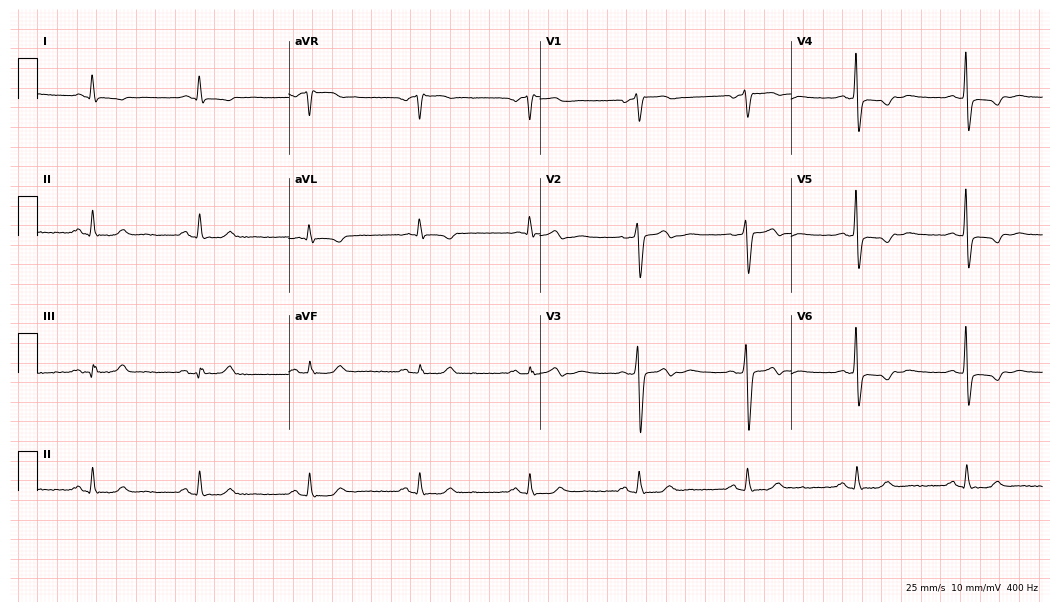
Electrocardiogram, a 71-year-old female. Of the six screened findings (first-degree AV block, right bundle branch block, left bundle branch block, sinus bradycardia, atrial fibrillation, sinus tachycardia), none is recorded. Other findings, if any, are not listed.